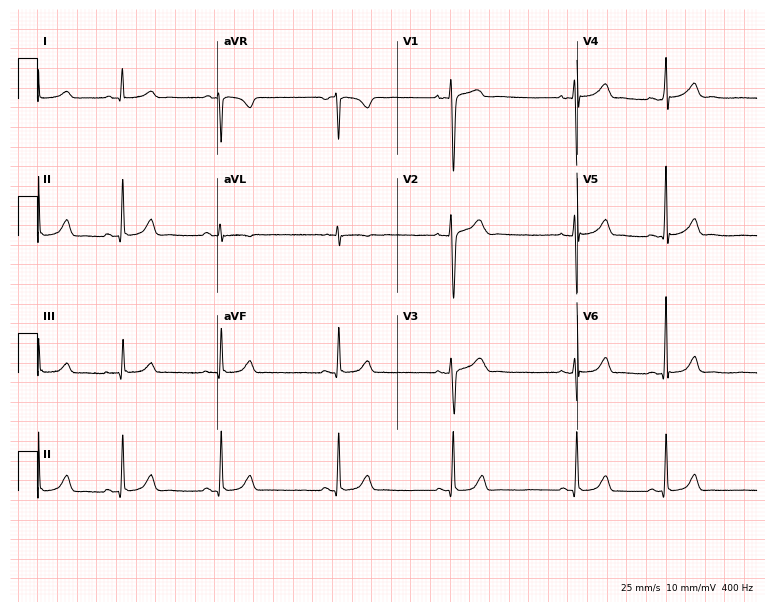
12-lead ECG from a woman, 26 years old (7.3-second recording at 400 Hz). Recorded interpretation: within normal limits.